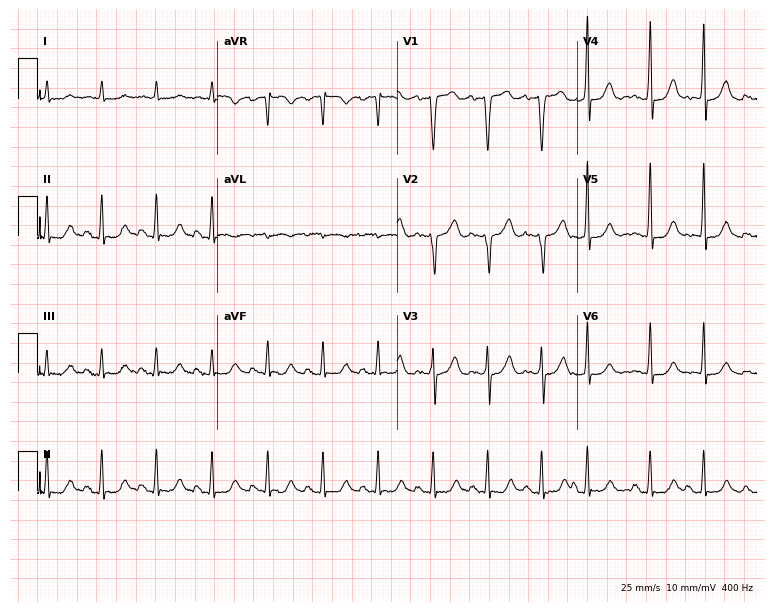
12-lead ECG (7.3-second recording at 400 Hz) from a male patient, 60 years old. Screened for six findings — first-degree AV block, right bundle branch block, left bundle branch block, sinus bradycardia, atrial fibrillation, sinus tachycardia — none is recorded.